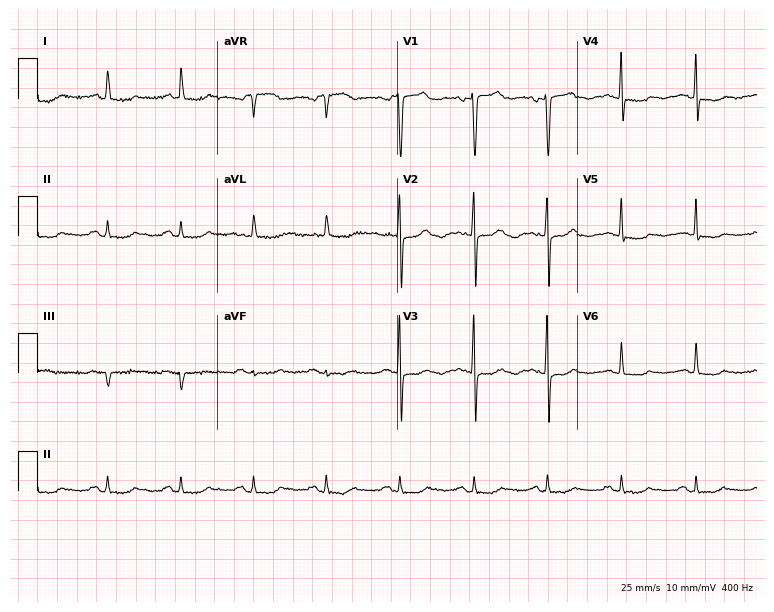
12-lead ECG from a woman, 77 years old (7.3-second recording at 400 Hz). No first-degree AV block, right bundle branch block, left bundle branch block, sinus bradycardia, atrial fibrillation or sinus tachycardia recorded for this tracing. Findings outside these six are not listed.